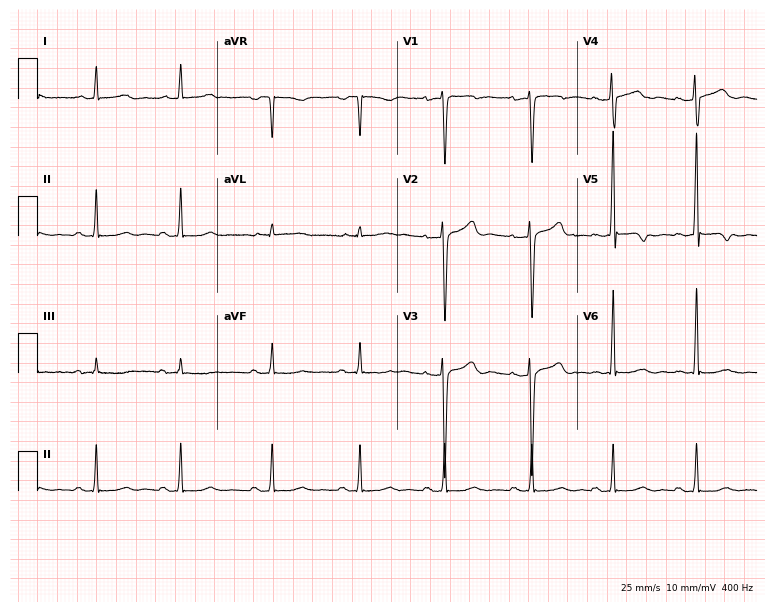
12-lead ECG from a 26-year-old female. Screened for six findings — first-degree AV block, right bundle branch block, left bundle branch block, sinus bradycardia, atrial fibrillation, sinus tachycardia — none is recorded.